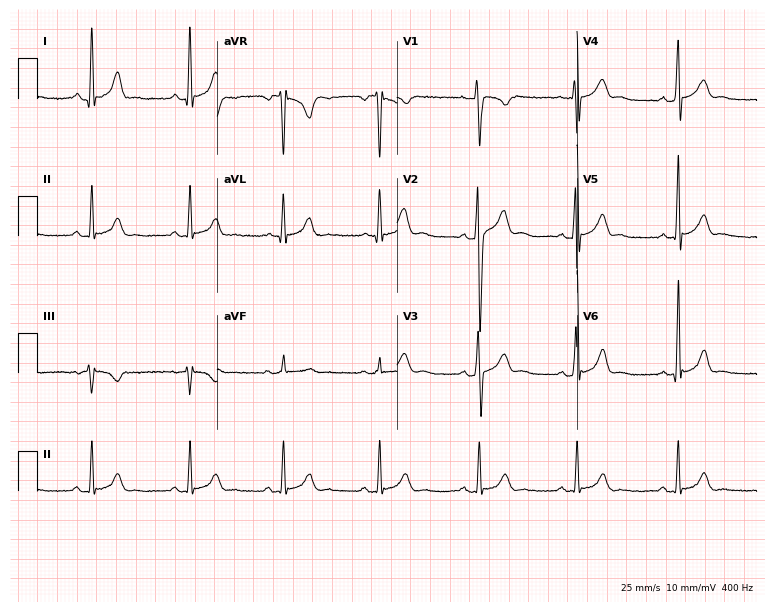
12-lead ECG (7.3-second recording at 400 Hz) from a male, 29 years old. Labelled as a normal ECG.